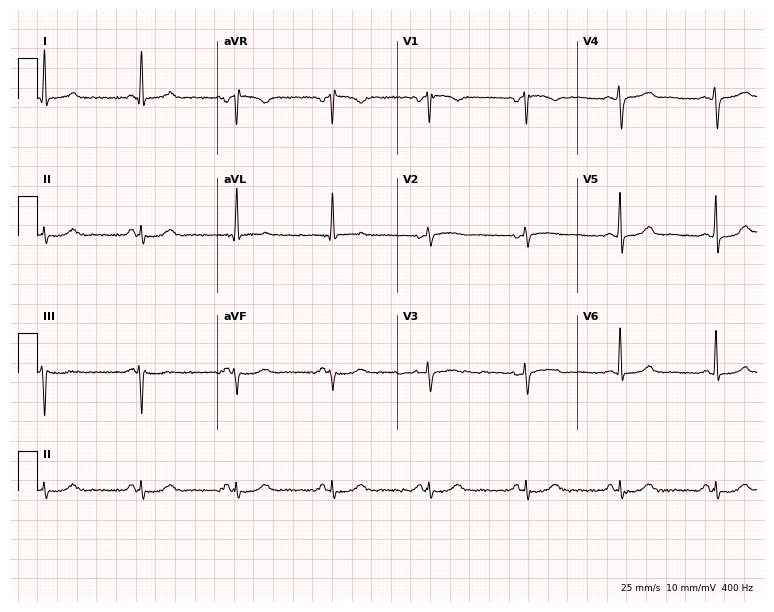
Electrocardiogram, a 72-year-old female patient. Overall reading on record: normal ECG.